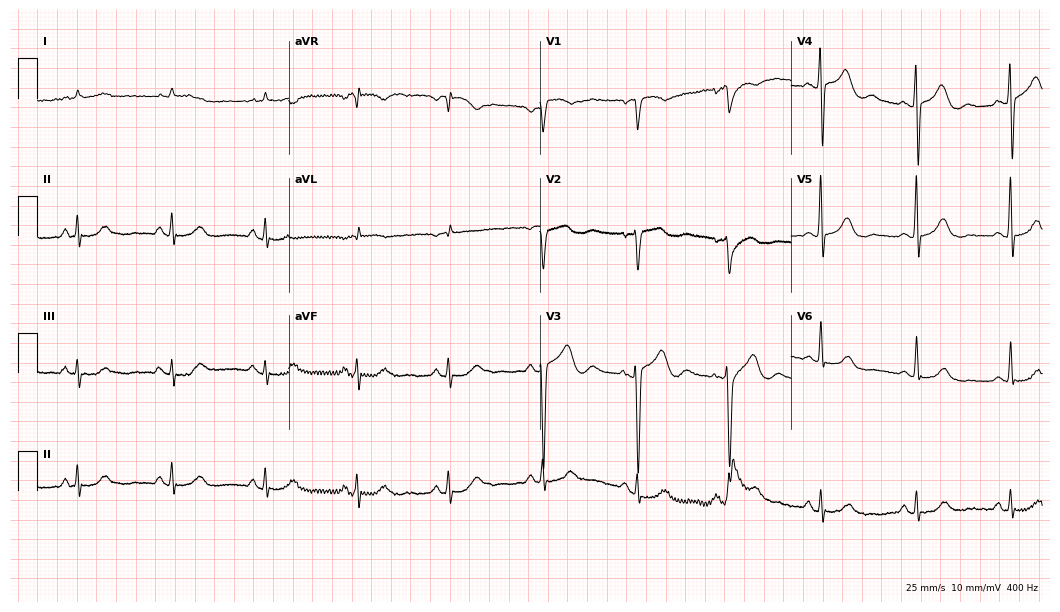
Standard 12-lead ECG recorded from an 81-year-old male (10.2-second recording at 400 Hz). None of these six findings is recorded: first-degree AV block, right bundle branch block (RBBB), left bundle branch block (LBBB), sinus bradycardia, atrial fibrillation (AF), sinus tachycardia.